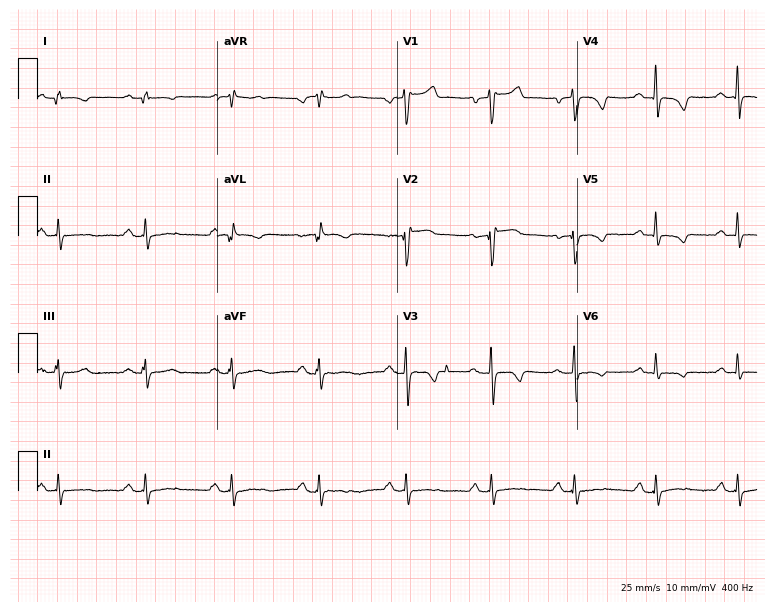
Standard 12-lead ECG recorded from a 54-year-old male patient. None of these six findings is recorded: first-degree AV block, right bundle branch block, left bundle branch block, sinus bradycardia, atrial fibrillation, sinus tachycardia. Only these six findings were labelled.